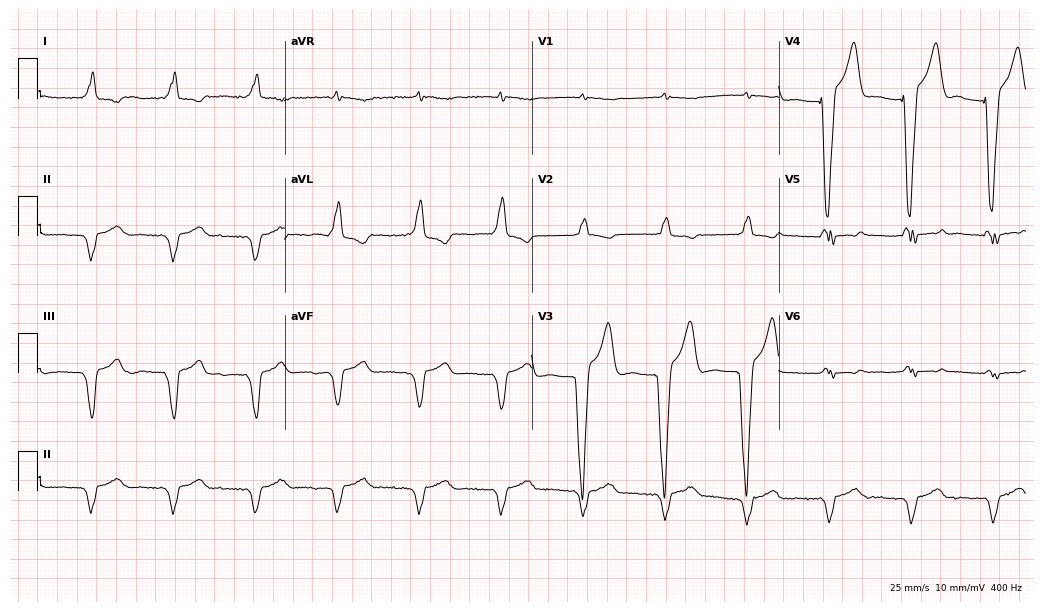
Resting 12-lead electrocardiogram (10.1-second recording at 400 Hz). Patient: a 59-year-old male. None of these six findings is recorded: first-degree AV block, right bundle branch block (RBBB), left bundle branch block (LBBB), sinus bradycardia, atrial fibrillation (AF), sinus tachycardia.